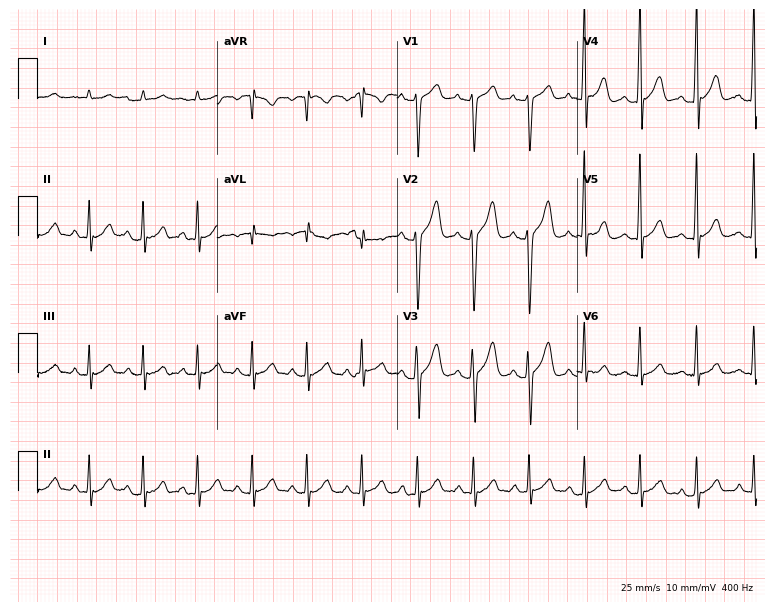
Standard 12-lead ECG recorded from a man, 34 years old. The tracing shows sinus tachycardia (a sinus rate of 100 beats per minute or more).